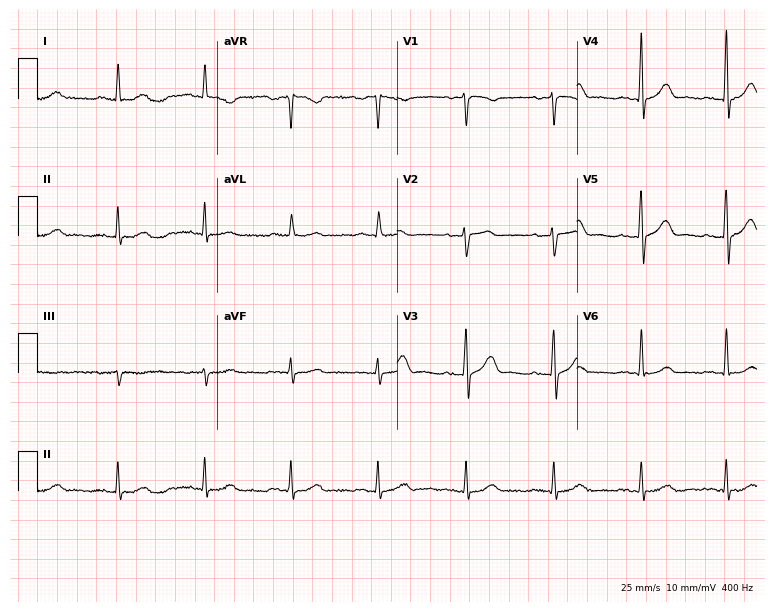
Standard 12-lead ECG recorded from a female patient, 61 years old (7.3-second recording at 400 Hz). None of these six findings is recorded: first-degree AV block, right bundle branch block, left bundle branch block, sinus bradycardia, atrial fibrillation, sinus tachycardia.